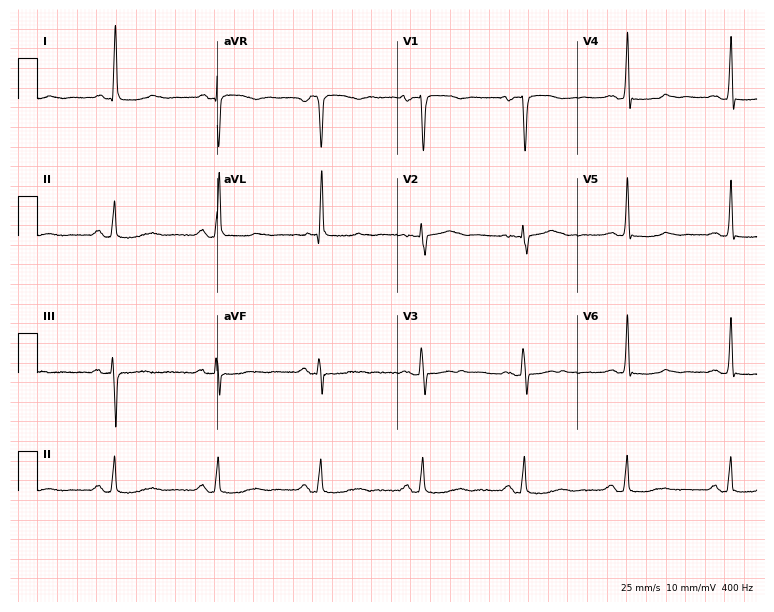
12-lead ECG from a 74-year-old woman (7.3-second recording at 400 Hz). No first-degree AV block, right bundle branch block (RBBB), left bundle branch block (LBBB), sinus bradycardia, atrial fibrillation (AF) or sinus tachycardia recorded for this tracing. Only these six findings were labelled.